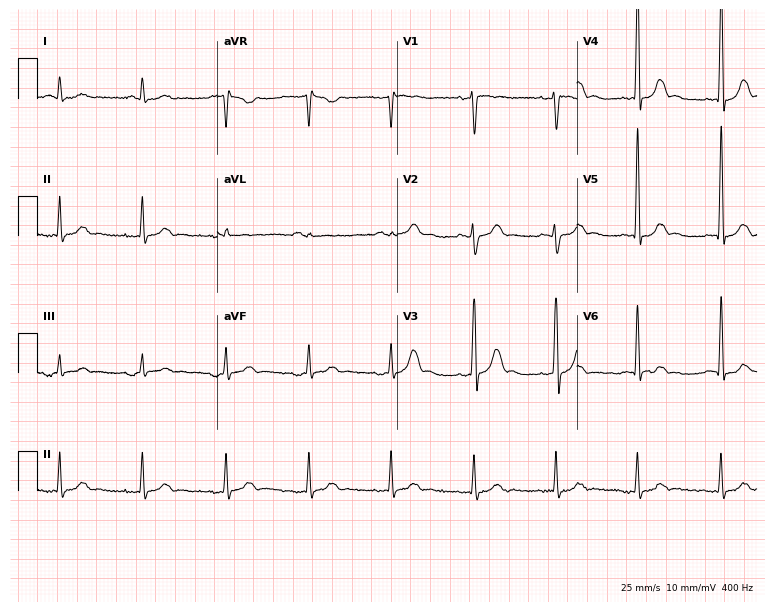
Electrocardiogram (7.3-second recording at 400 Hz), a 51-year-old man. Overall reading on record: normal ECG.